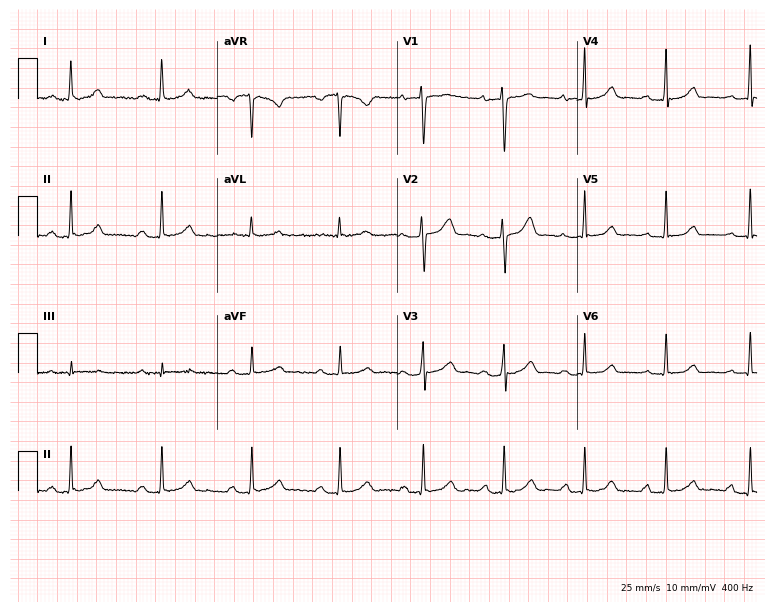
Resting 12-lead electrocardiogram (7.3-second recording at 400 Hz). Patient: a female, 39 years old. Read as a normal ECG.